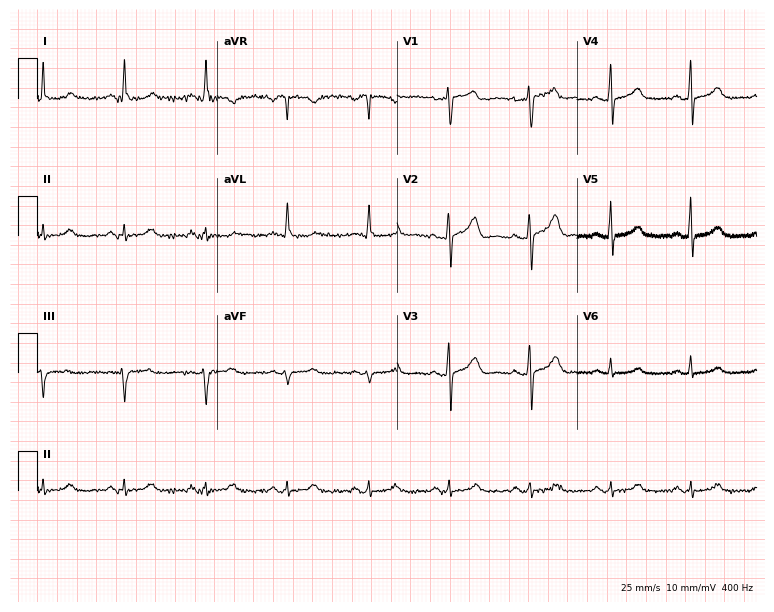
ECG — a 51-year-old female. Labelled as a normal ECG.